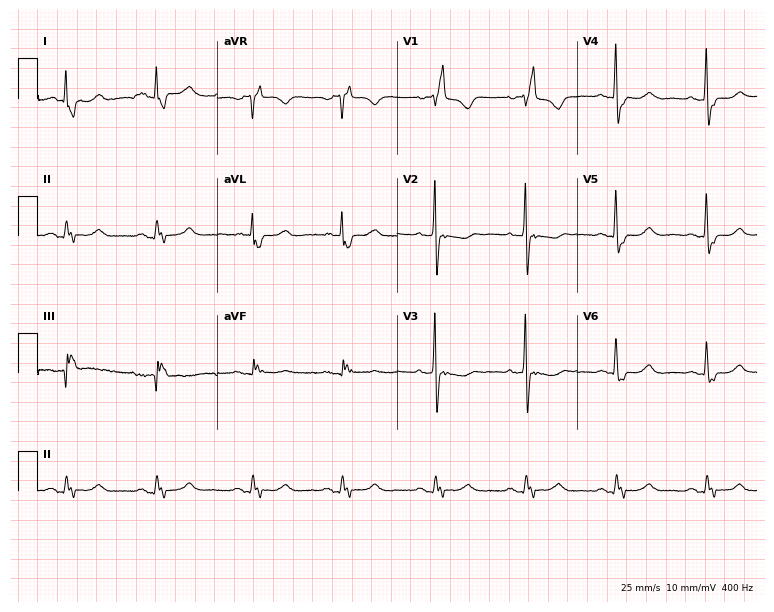
12-lead ECG (7.3-second recording at 400 Hz) from a female patient, 84 years old. Findings include right bundle branch block.